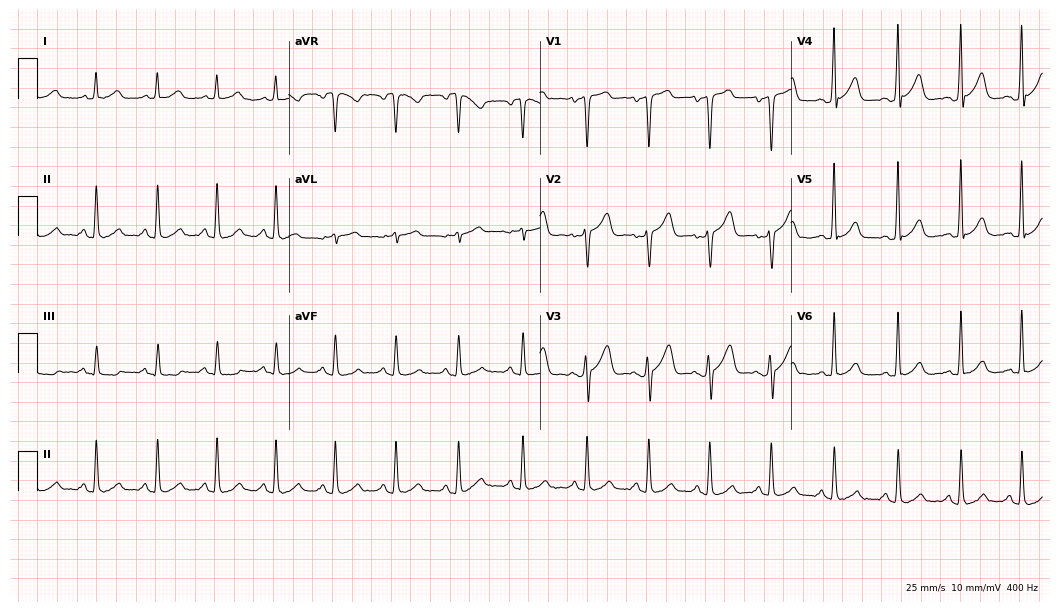
Resting 12-lead electrocardiogram (10.2-second recording at 400 Hz). Patient: a 44-year-old male. None of these six findings is recorded: first-degree AV block, right bundle branch block, left bundle branch block, sinus bradycardia, atrial fibrillation, sinus tachycardia. Only these six findings were labelled.